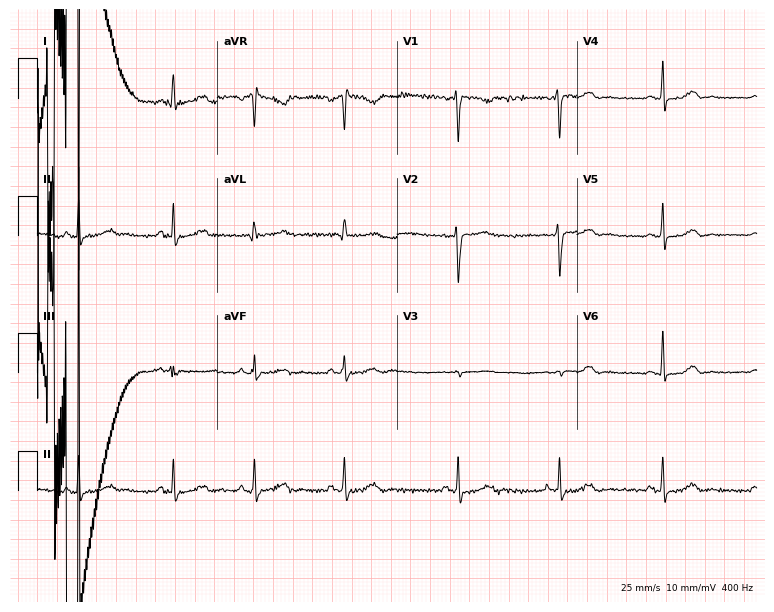
12-lead ECG from a woman, 38 years old. Screened for six findings — first-degree AV block, right bundle branch block (RBBB), left bundle branch block (LBBB), sinus bradycardia, atrial fibrillation (AF), sinus tachycardia — none is recorded. Findings outside these six are not listed.